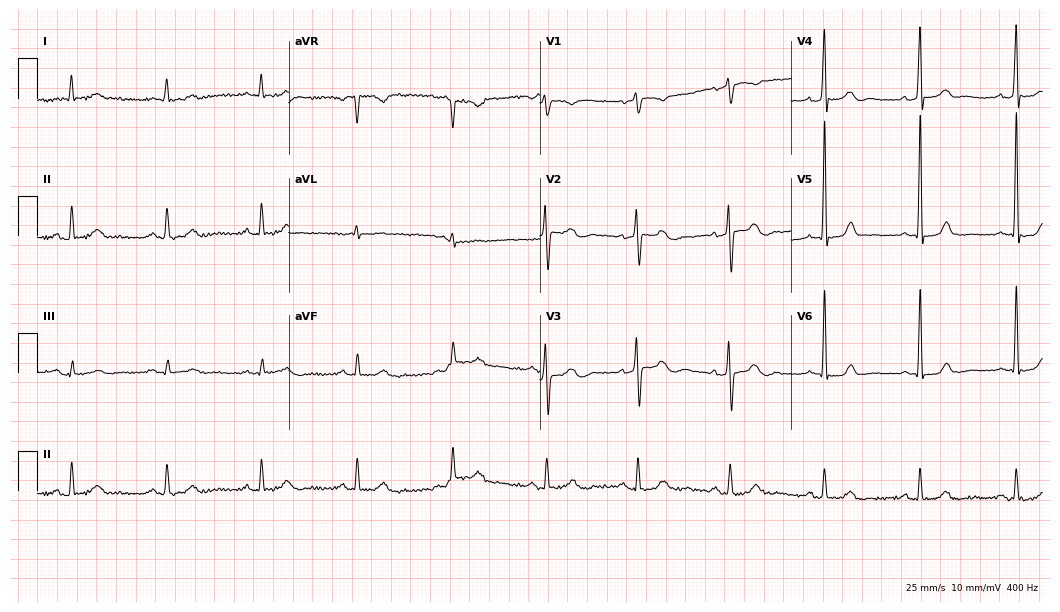
Electrocardiogram, a male, 73 years old. Overall reading on record: normal ECG.